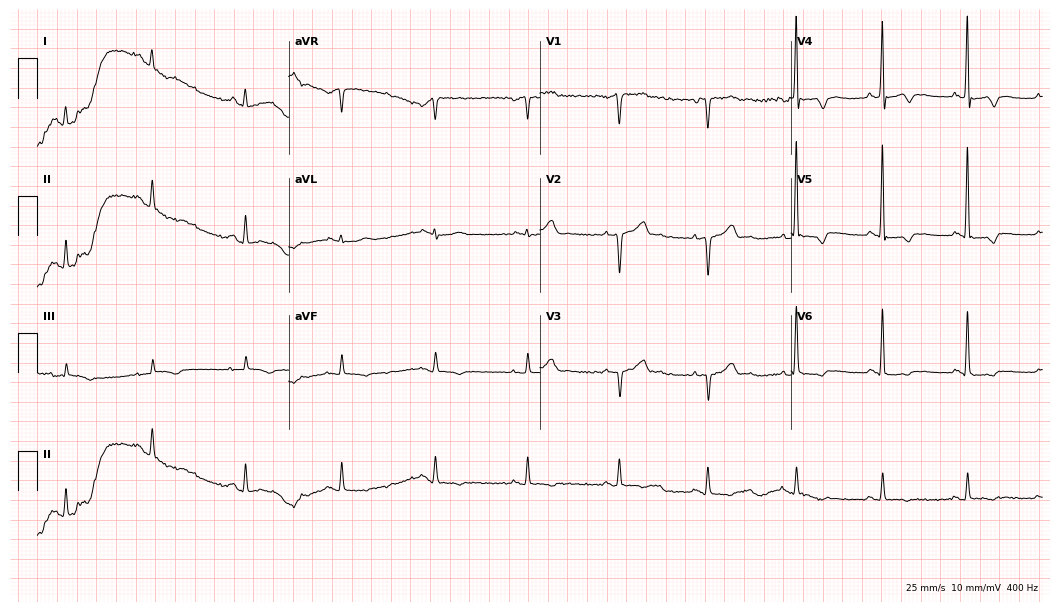
12-lead ECG from a male patient, 58 years old. No first-degree AV block, right bundle branch block (RBBB), left bundle branch block (LBBB), sinus bradycardia, atrial fibrillation (AF) or sinus tachycardia recorded for this tracing.